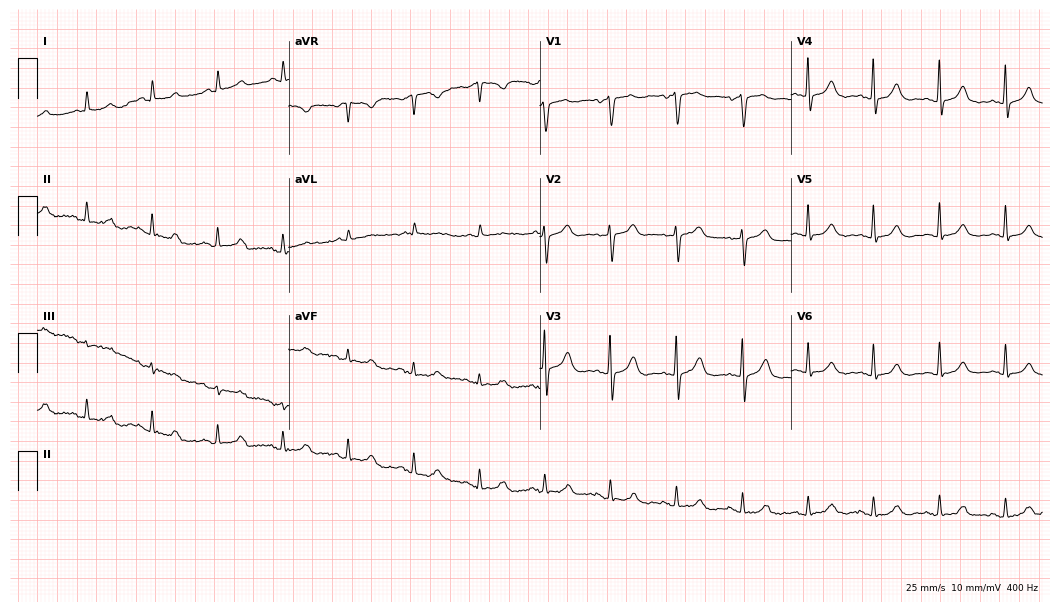
ECG (10.2-second recording at 400 Hz) — a male patient, 83 years old. Screened for six findings — first-degree AV block, right bundle branch block, left bundle branch block, sinus bradycardia, atrial fibrillation, sinus tachycardia — none is recorded.